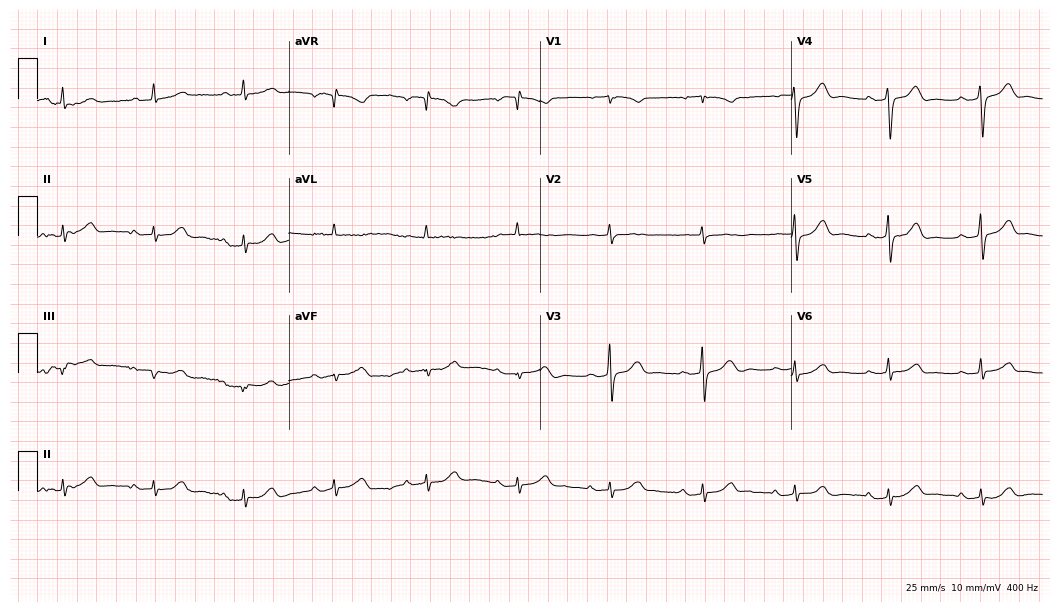
12-lead ECG from a female, 80 years old. Recorded interpretation: within normal limits.